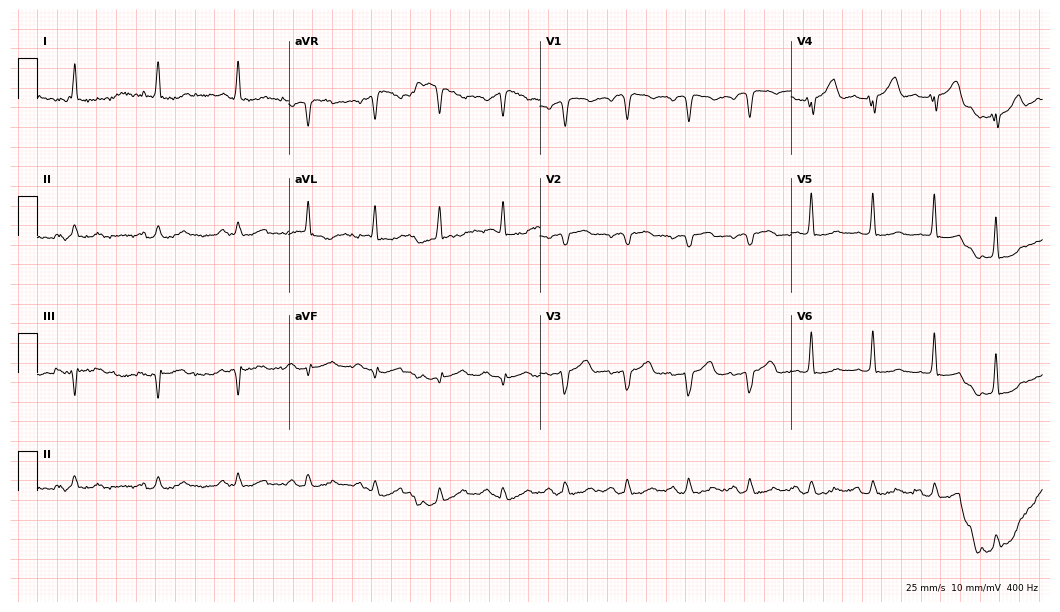
12-lead ECG from a 78-year-old female patient. No first-degree AV block, right bundle branch block (RBBB), left bundle branch block (LBBB), sinus bradycardia, atrial fibrillation (AF) or sinus tachycardia recorded for this tracing. Only these six findings were labelled.